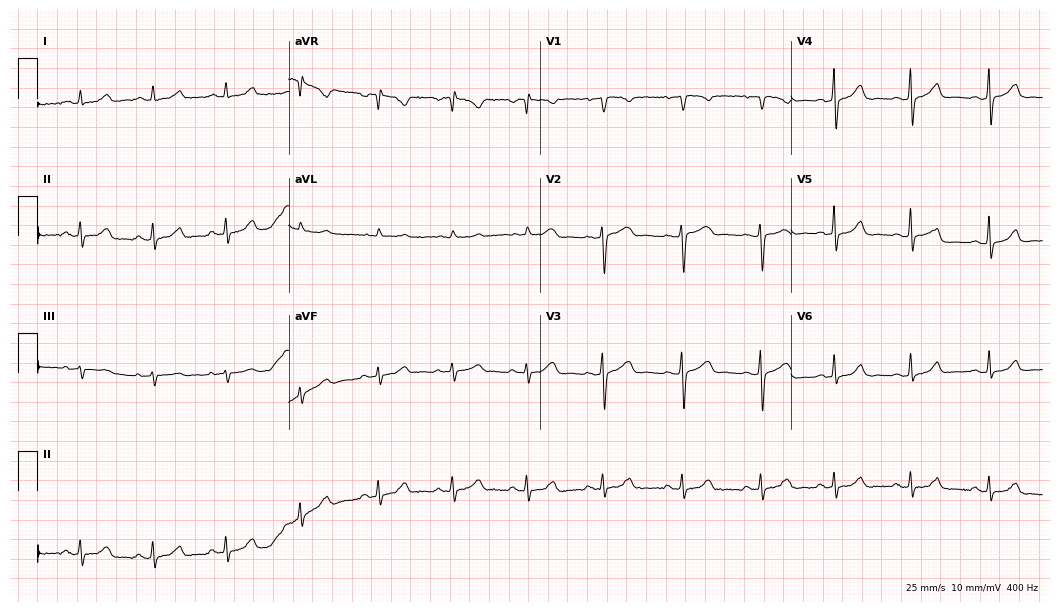
ECG — a 43-year-old female. Labelled as a normal ECG.